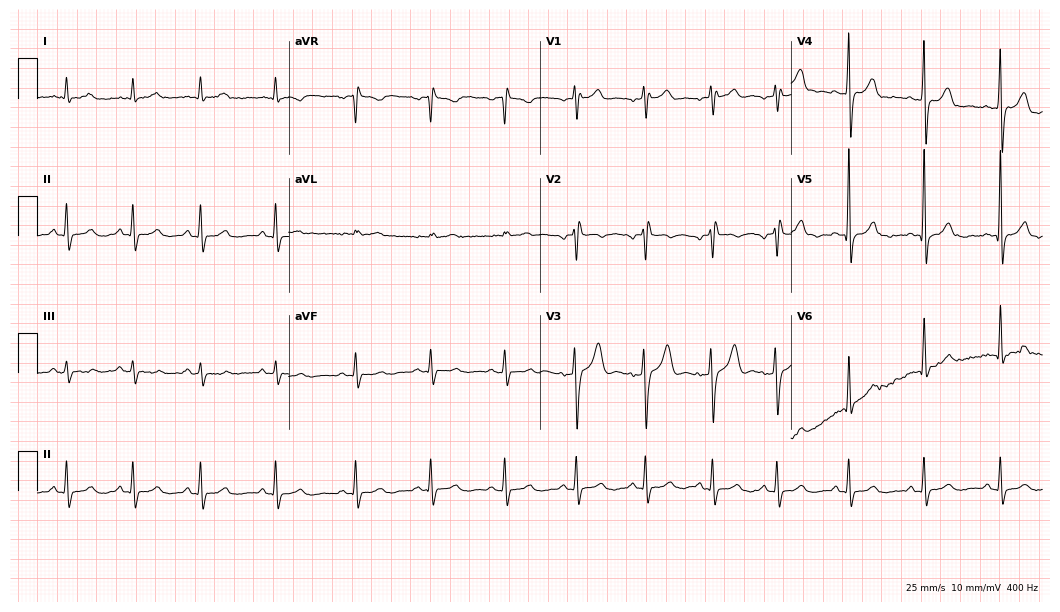
12-lead ECG from a 28-year-old male. Labelled as a normal ECG.